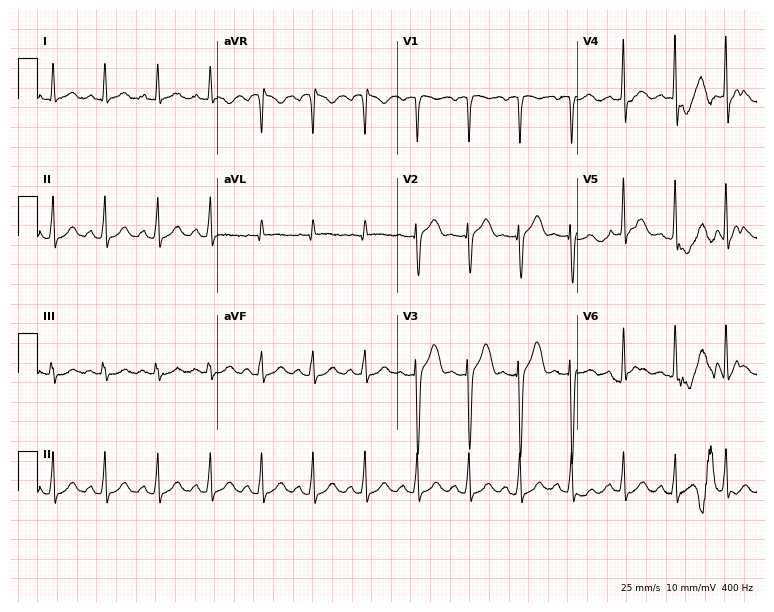
12-lead ECG from a 38-year-old male patient. Shows sinus tachycardia (a sinus rate of 100 beats per minute or more).